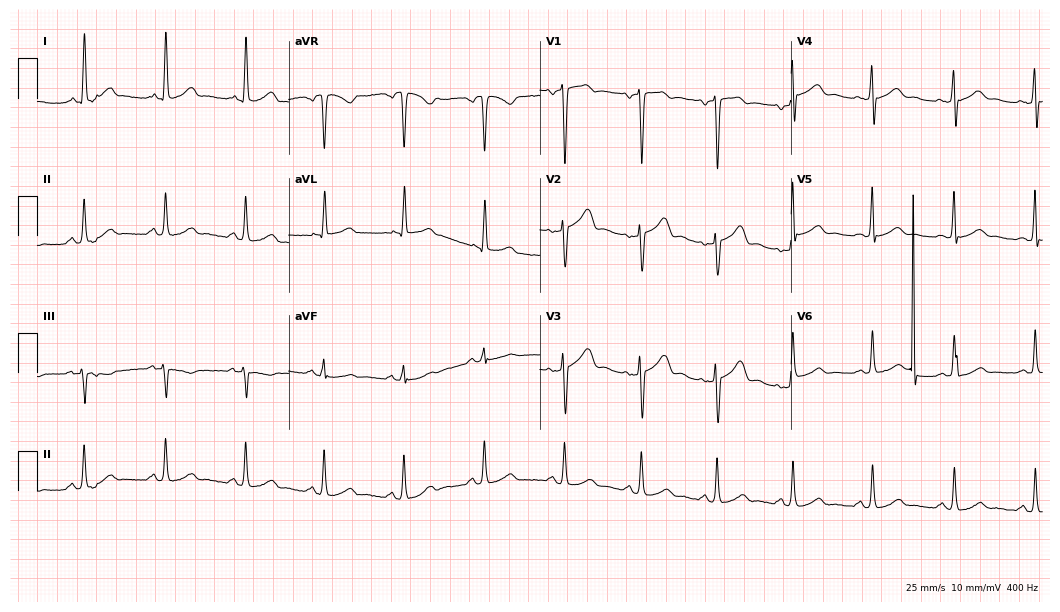
Resting 12-lead electrocardiogram (10.2-second recording at 400 Hz). Patient: a 25-year-old woman. Read as a normal ECG.